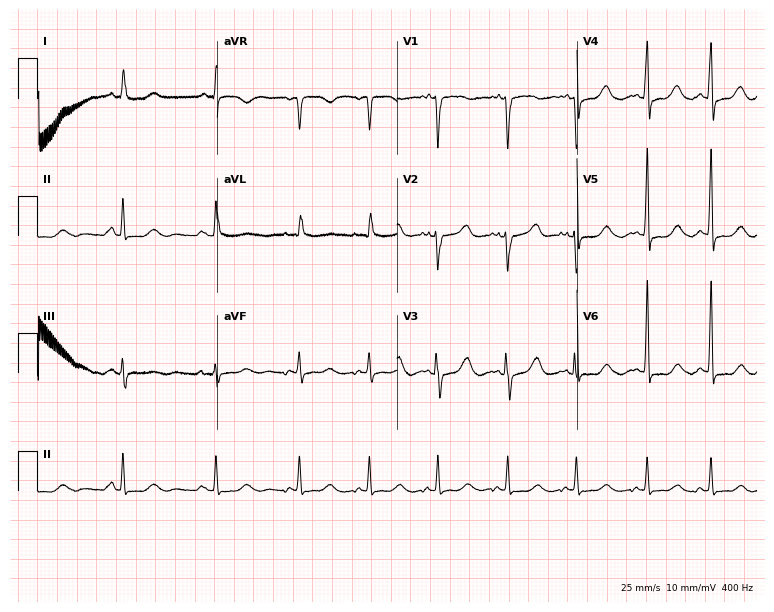
ECG — a female, 73 years old. Screened for six findings — first-degree AV block, right bundle branch block, left bundle branch block, sinus bradycardia, atrial fibrillation, sinus tachycardia — none is recorded.